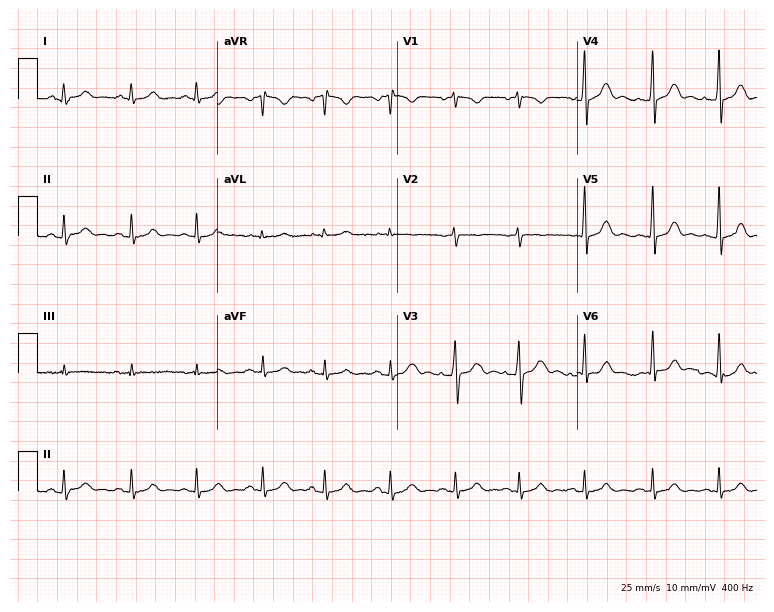
12-lead ECG from a 40-year-old male. No first-degree AV block, right bundle branch block (RBBB), left bundle branch block (LBBB), sinus bradycardia, atrial fibrillation (AF) or sinus tachycardia recorded for this tracing. Findings outside these six are not listed.